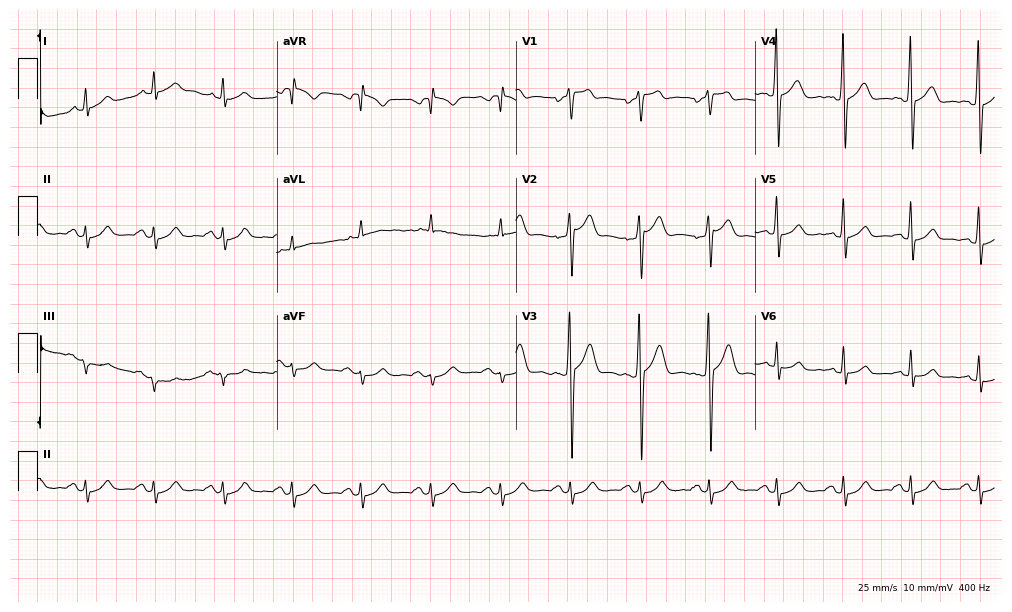
Resting 12-lead electrocardiogram. Patient: a 61-year-old man. Read as a normal ECG.